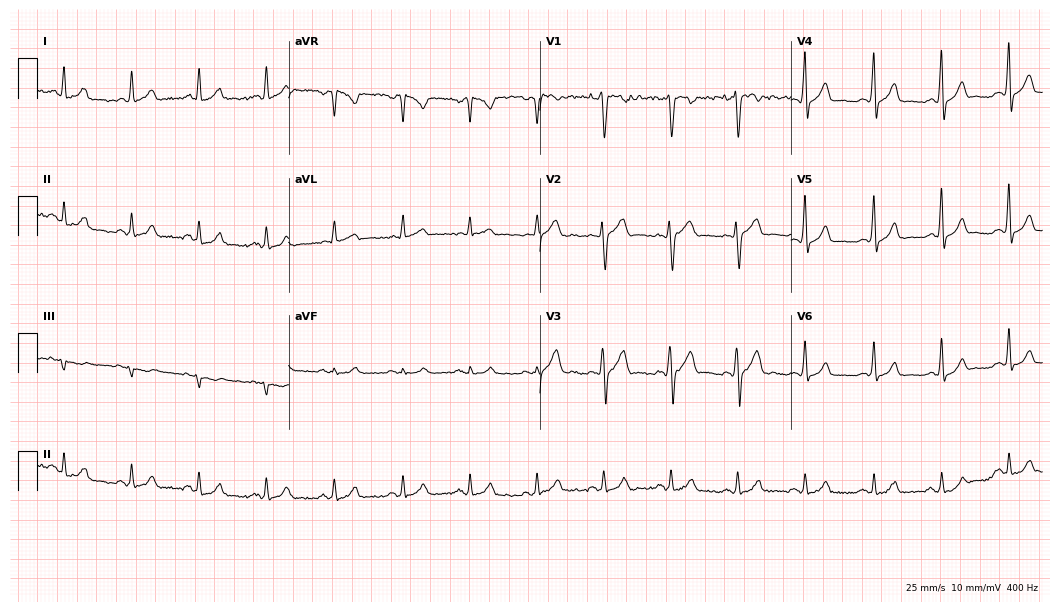
ECG (10.2-second recording at 400 Hz) — a male, 38 years old. Labelled as a normal ECG.